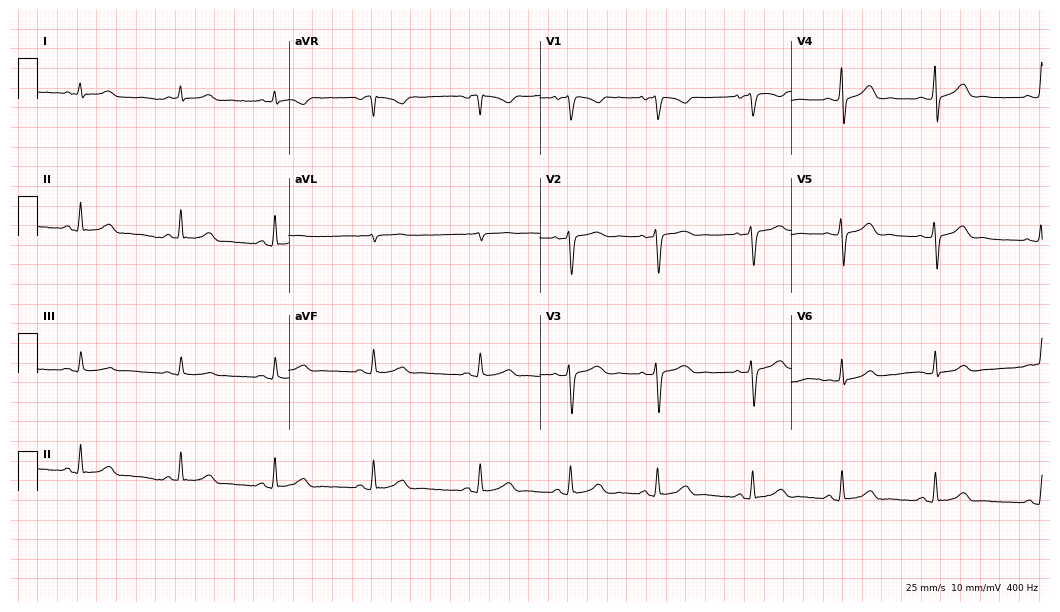
12-lead ECG (10.2-second recording at 400 Hz) from a 35-year-old woman. Screened for six findings — first-degree AV block, right bundle branch block, left bundle branch block, sinus bradycardia, atrial fibrillation, sinus tachycardia — none is recorded. Only these six findings were labelled.